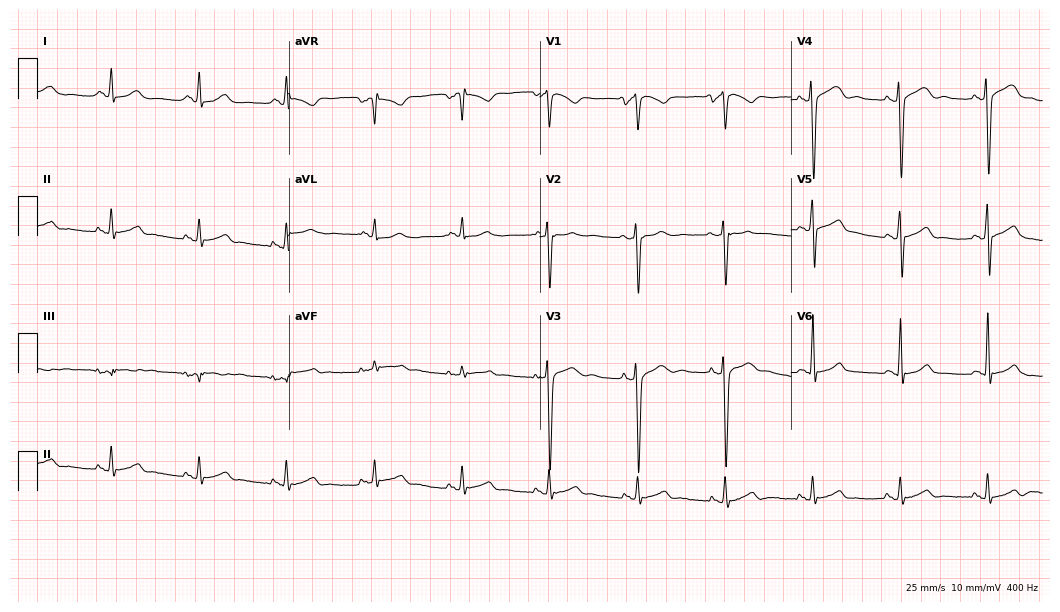
12-lead ECG from a 27-year-old male patient. Screened for six findings — first-degree AV block, right bundle branch block, left bundle branch block, sinus bradycardia, atrial fibrillation, sinus tachycardia — none is recorded.